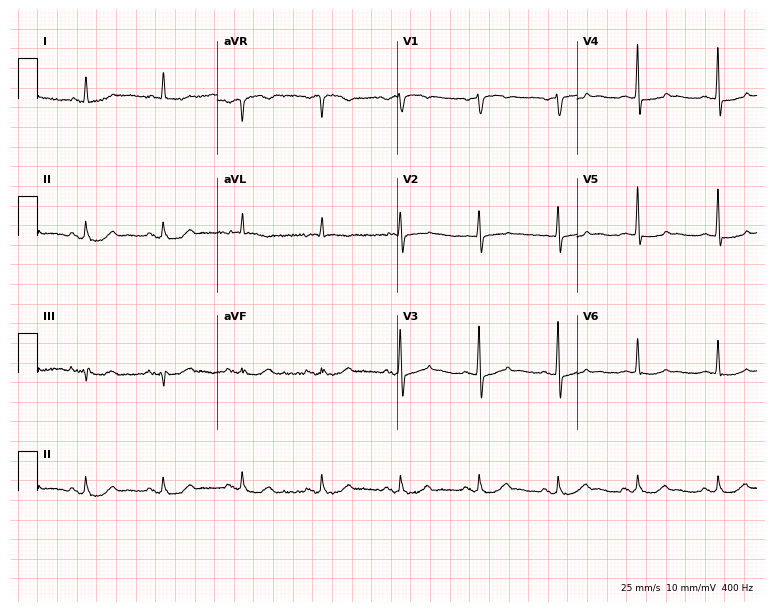
Resting 12-lead electrocardiogram (7.3-second recording at 400 Hz). Patient: an 81-year-old male. Read as a normal ECG.